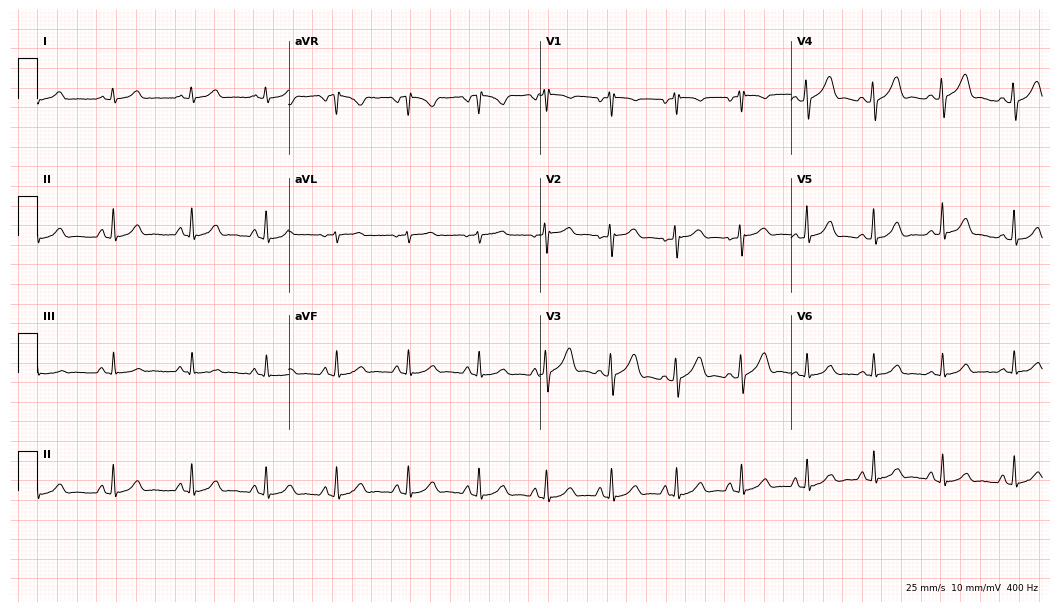
12-lead ECG from a 17-year-old female patient (10.2-second recording at 400 Hz). Recorded interpretation: within normal limits.